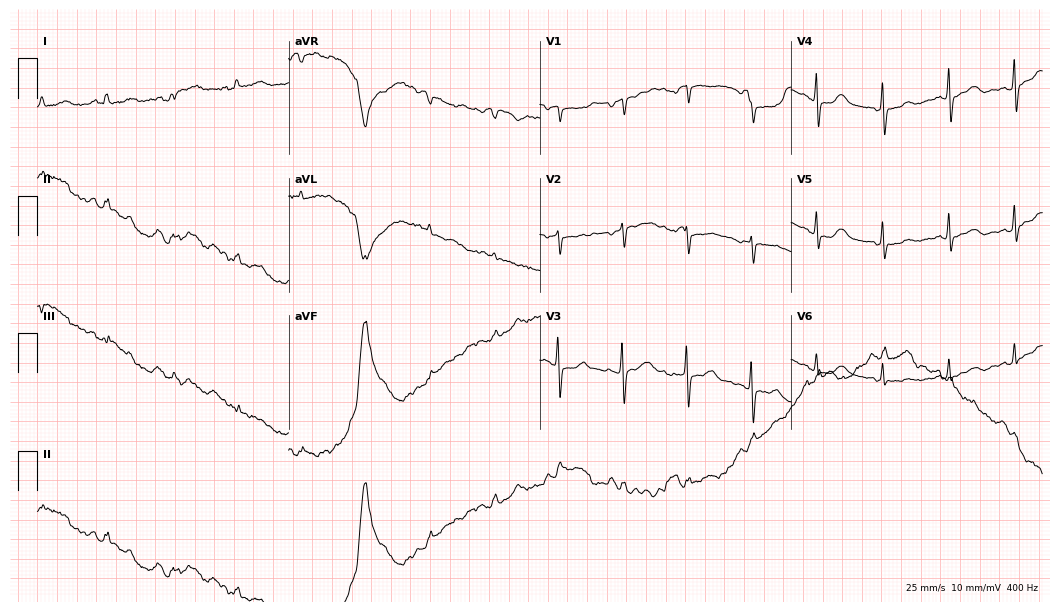
12-lead ECG (10.2-second recording at 400 Hz) from a female patient, 82 years old. Screened for six findings — first-degree AV block, right bundle branch block, left bundle branch block, sinus bradycardia, atrial fibrillation, sinus tachycardia — none is recorded. Findings outside these six are not listed.